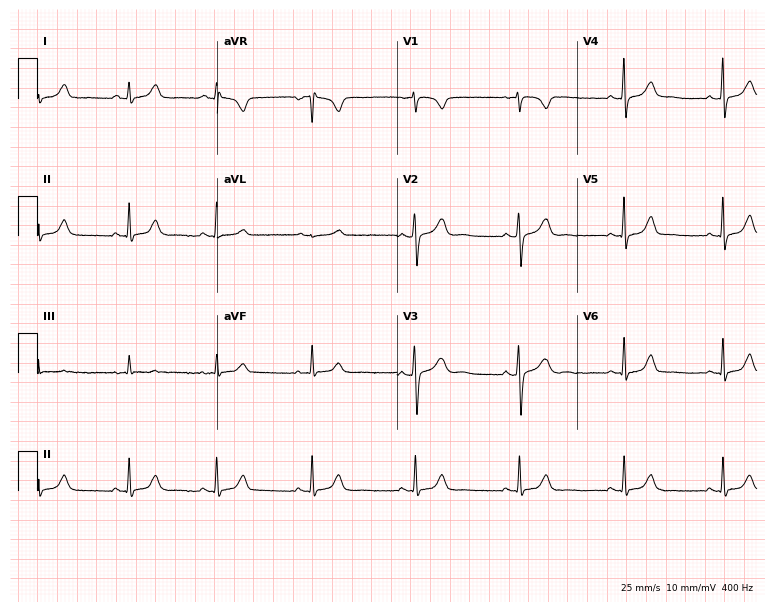
12-lead ECG from a 17-year-old female patient. Screened for six findings — first-degree AV block, right bundle branch block, left bundle branch block, sinus bradycardia, atrial fibrillation, sinus tachycardia — none is recorded. Only these six findings were labelled.